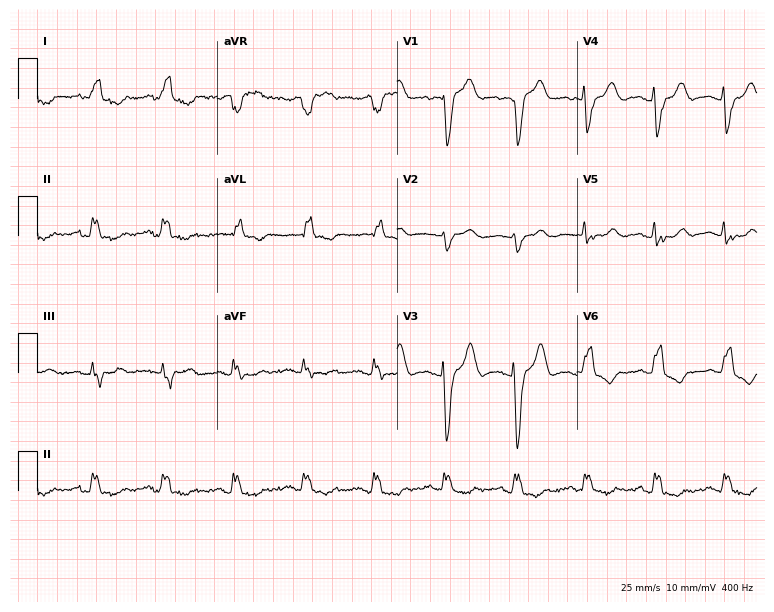
Electrocardiogram, a female patient, 83 years old. Interpretation includes left bundle branch block.